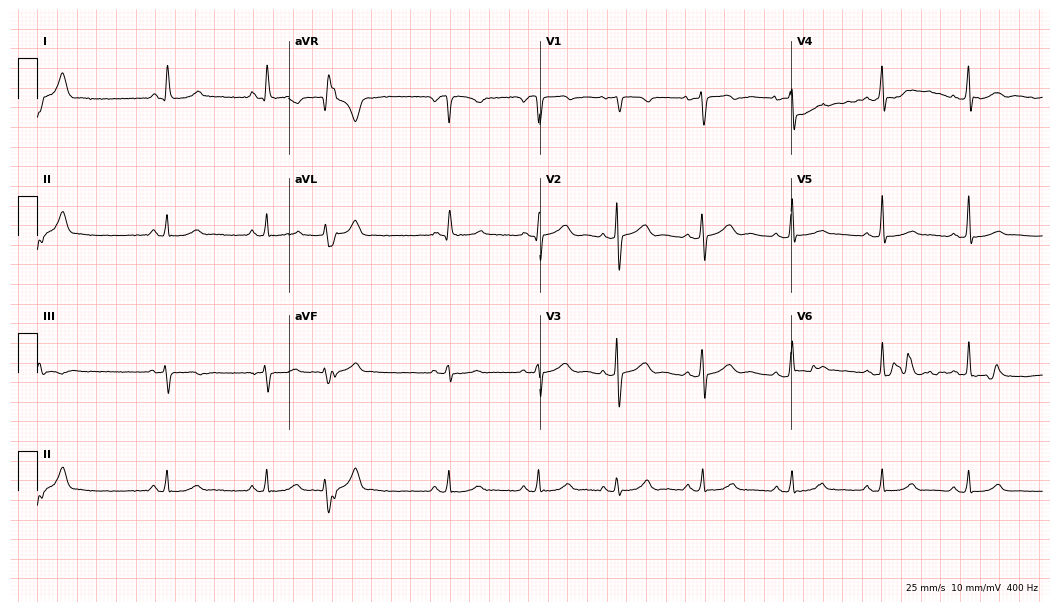
12-lead ECG from a 29-year-old woman (10.2-second recording at 400 Hz). No first-degree AV block, right bundle branch block (RBBB), left bundle branch block (LBBB), sinus bradycardia, atrial fibrillation (AF) or sinus tachycardia recorded for this tracing. Only these six findings were labelled.